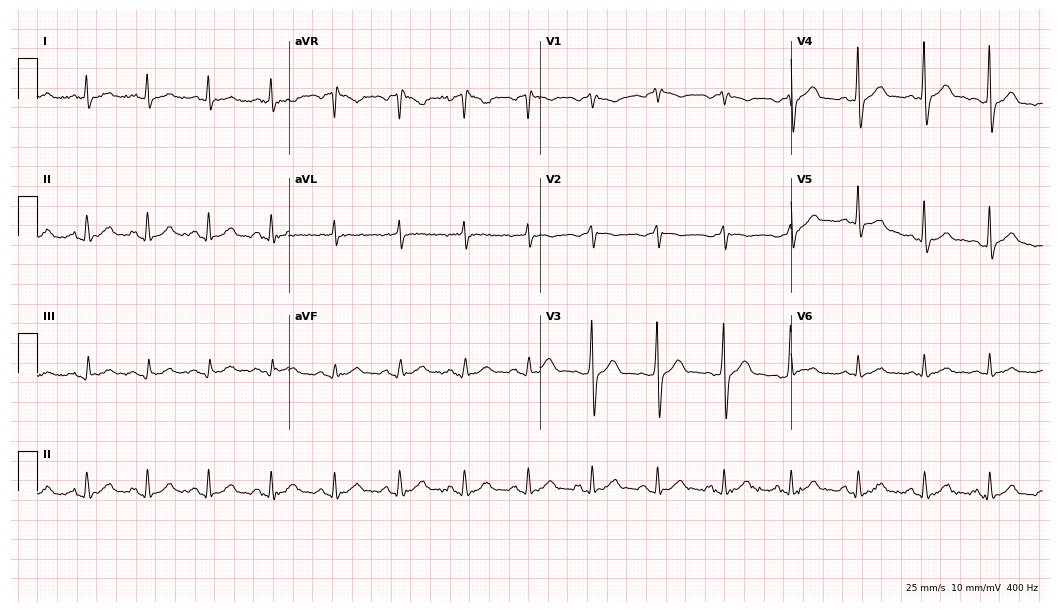
12-lead ECG from a male, 64 years old. Labelled as a normal ECG.